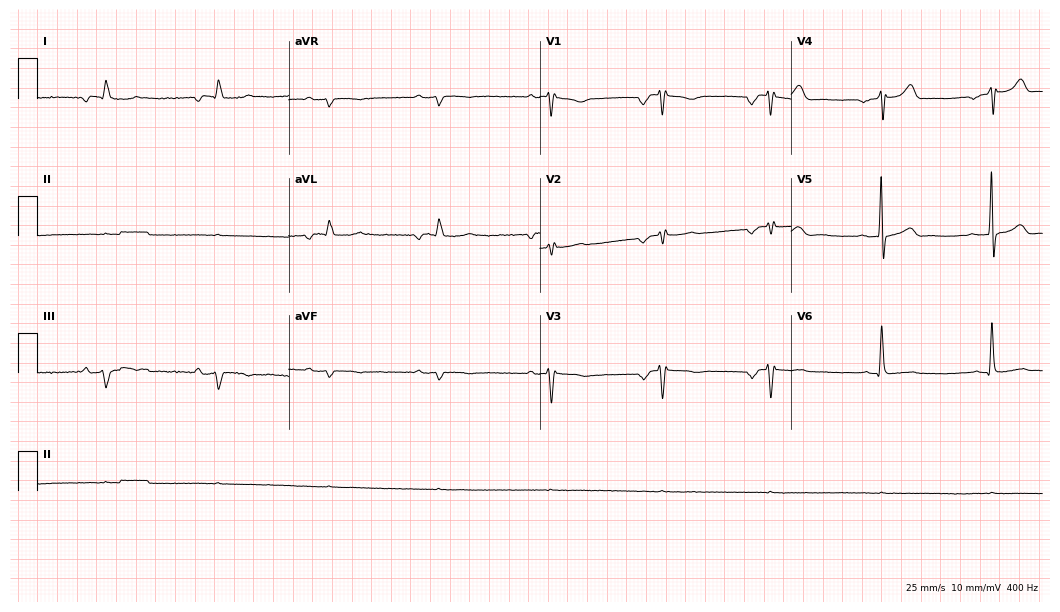
ECG — a male patient, 80 years old. Screened for six findings — first-degree AV block, right bundle branch block (RBBB), left bundle branch block (LBBB), sinus bradycardia, atrial fibrillation (AF), sinus tachycardia — none is recorded.